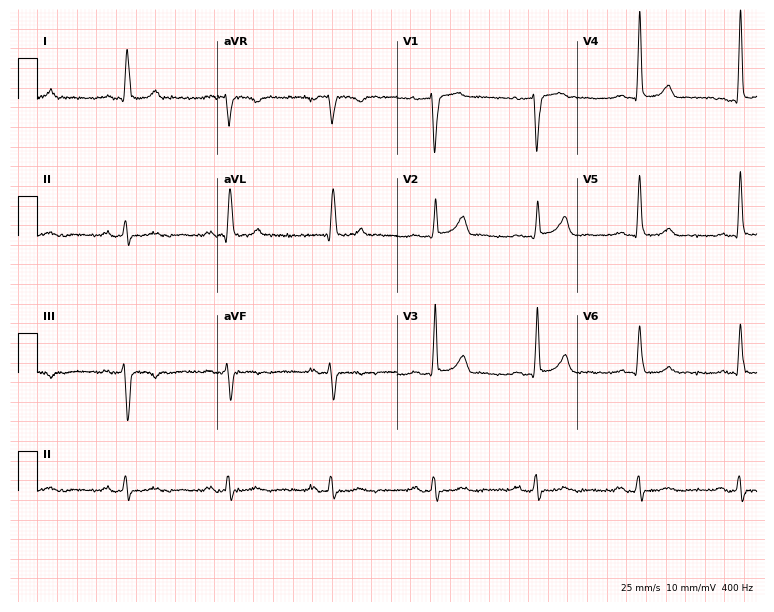
ECG (7.3-second recording at 400 Hz) — a man, 61 years old. Screened for six findings — first-degree AV block, right bundle branch block, left bundle branch block, sinus bradycardia, atrial fibrillation, sinus tachycardia — none is recorded.